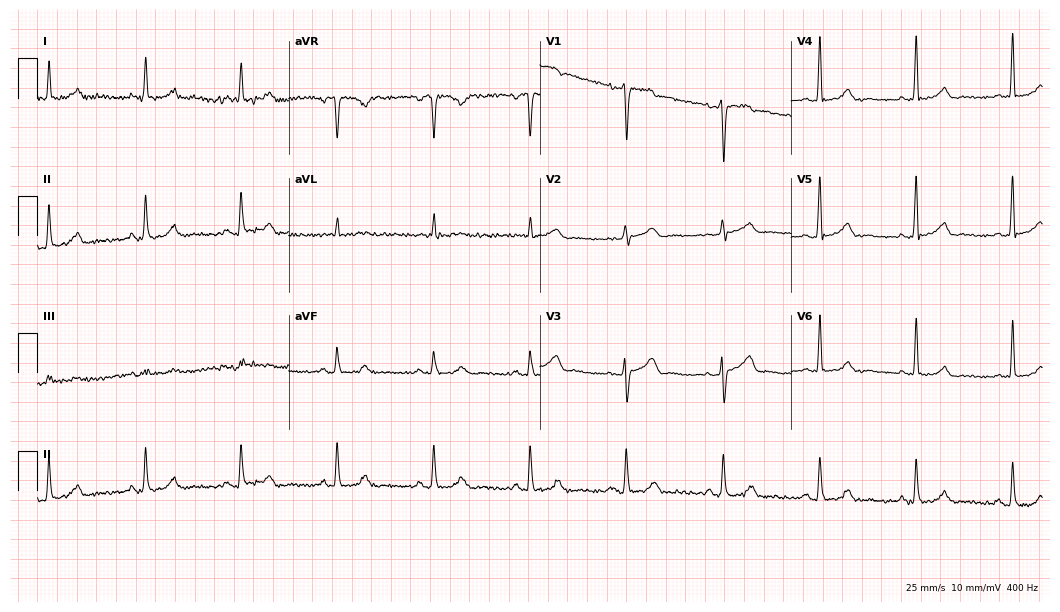
12-lead ECG from an 83-year-old male patient. Labelled as a normal ECG.